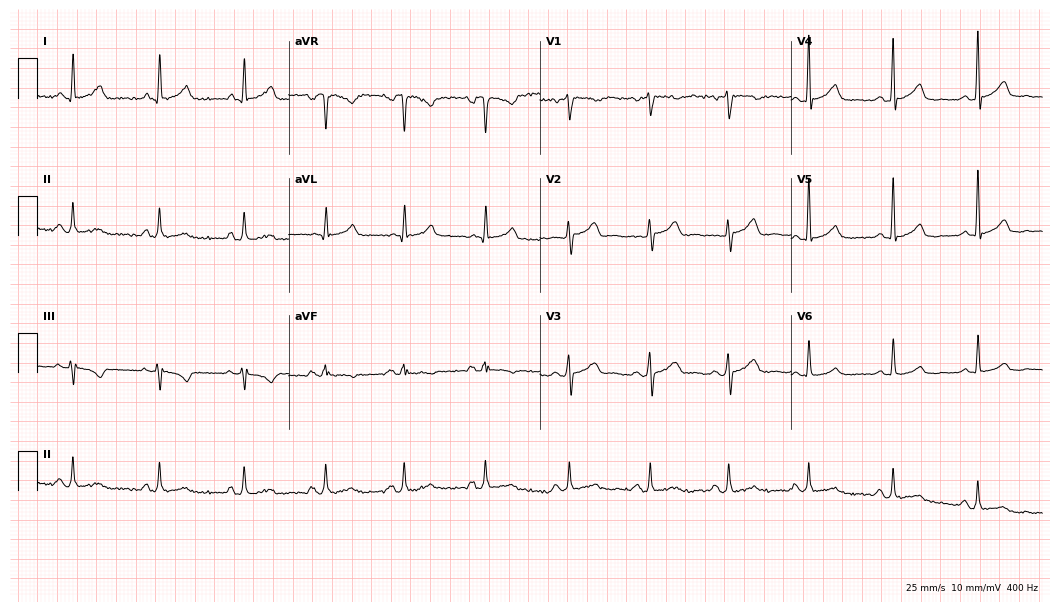
Electrocardiogram (10.2-second recording at 400 Hz), a 46-year-old female. Of the six screened findings (first-degree AV block, right bundle branch block, left bundle branch block, sinus bradycardia, atrial fibrillation, sinus tachycardia), none is recorded. Other findings, if any, are not listed.